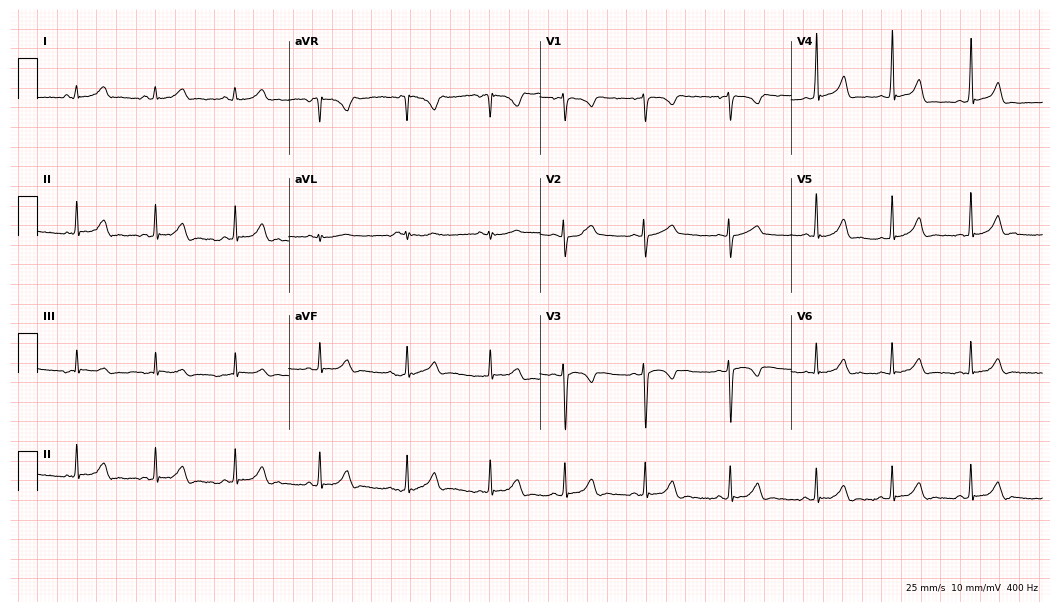
Standard 12-lead ECG recorded from a 17-year-old woman (10.2-second recording at 400 Hz). Read as a normal ECG.